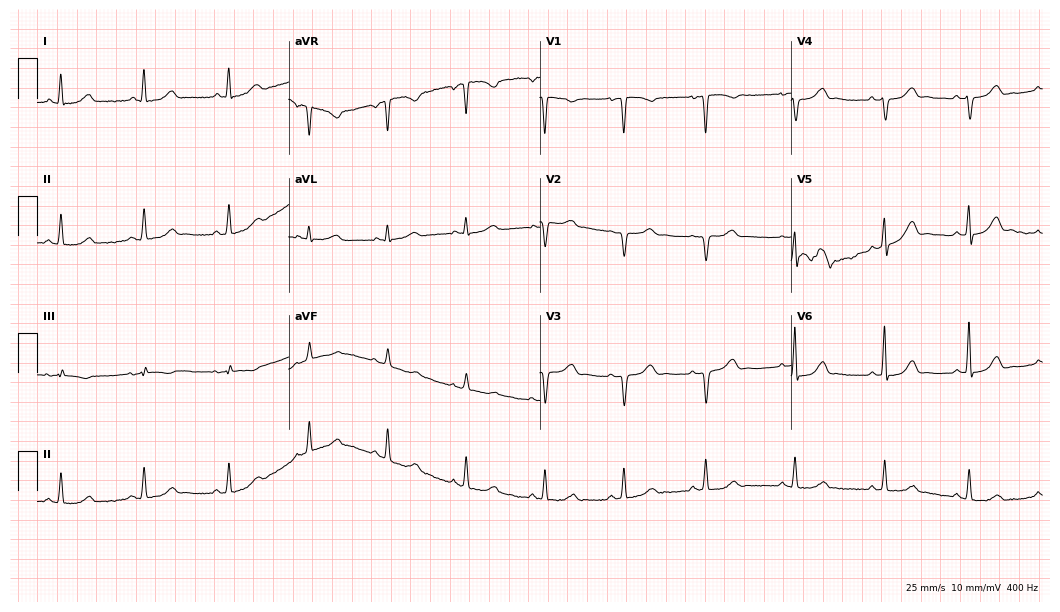
Electrocardiogram (10.2-second recording at 400 Hz), a 42-year-old female patient. Of the six screened findings (first-degree AV block, right bundle branch block (RBBB), left bundle branch block (LBBB), sinus bradycardia, atrial fibrillation (AF), sinus tachycardia), none is recorded. Findings outside these six are not listed.